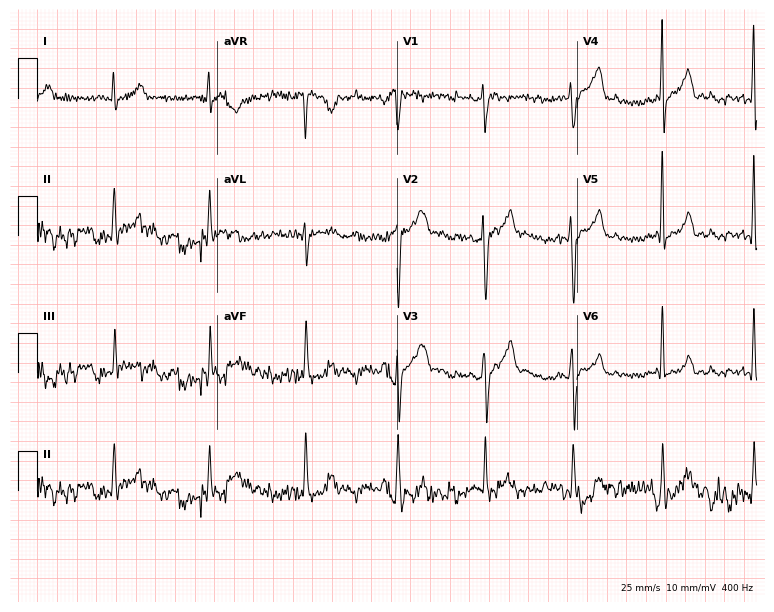
ECG — a male patient, 36 years old. Screened for six findings — first-degree AV block, right bundle branch block, left bundle branch block, sinus bradycardia, atrial fibrillation, sinus tachycardia — none is recorded. Findings outside these six are not listed.